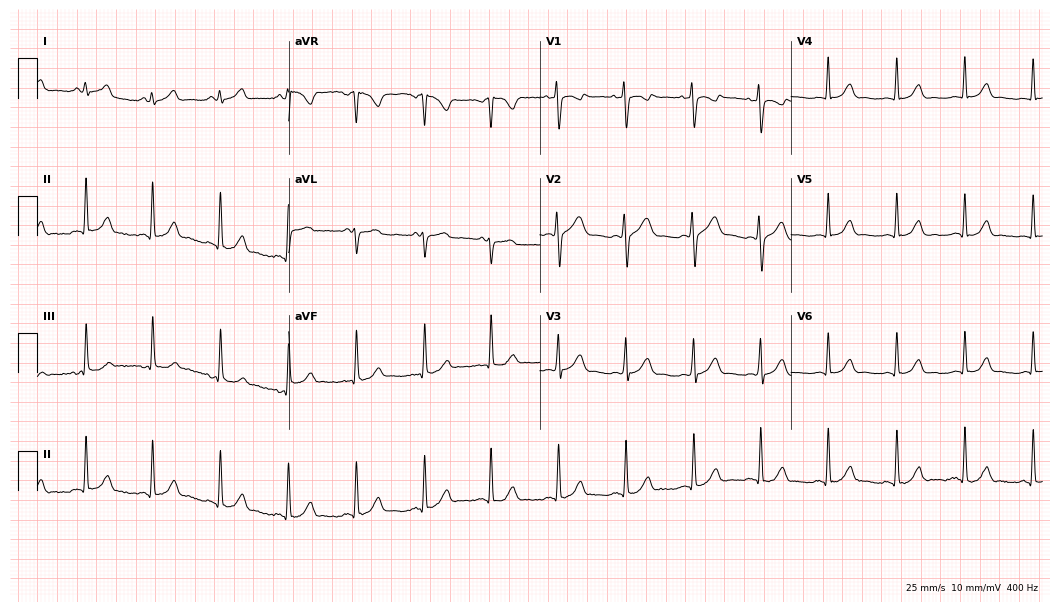
12-lead ECG from a 27-year-old woman. Labelled as a normal ECG.